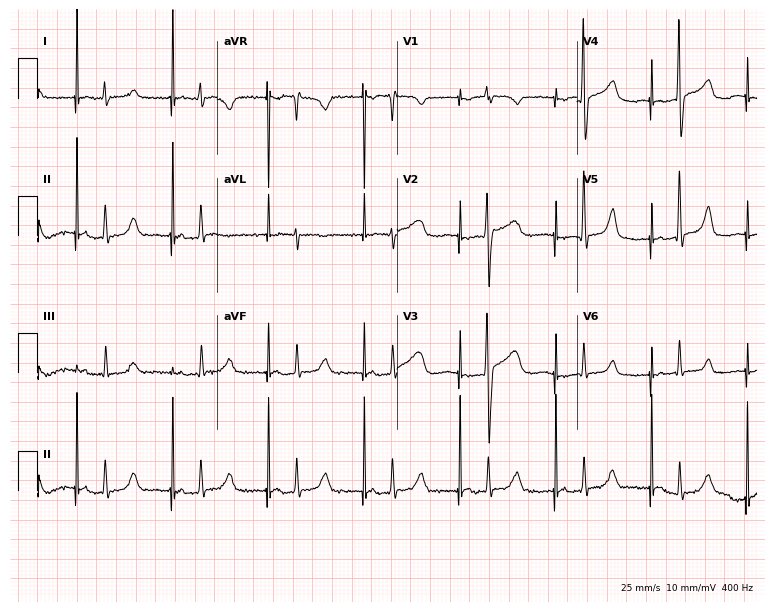
Resting 12-lead electrocardiogram (7.3-second recording at 400 Hz). Patient: a woman, 83 years old. None of these six findings is recorded: first-degree AV block, right bundle branch block, left bundle branch block, sinus bradycardia, atrial fibrillation, sinus tachycardia. Only these six findings were labelled.